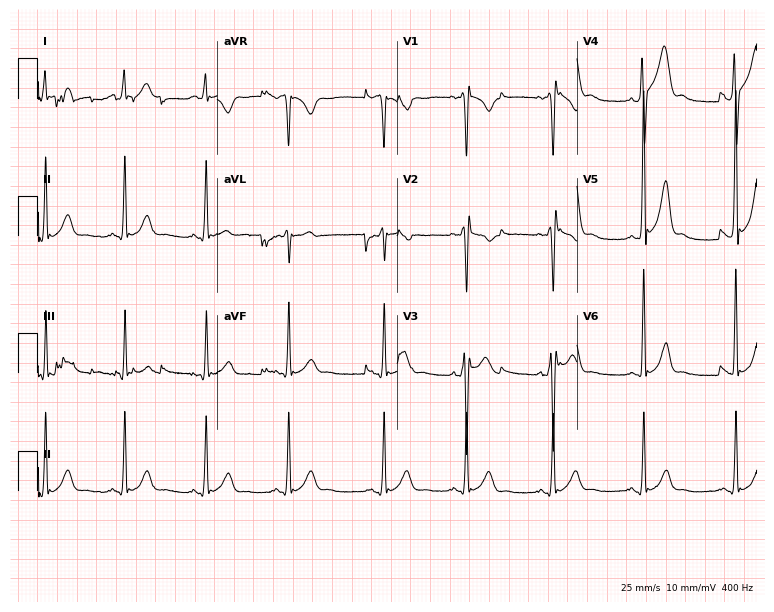
Standard 12-lead ECG recorded from a 25-year-old male patient (7.3-second recording at 400 Hz). None of these six findings is recorded: first-degree AV block, right bundle branch block, left bundle branch block, sinus bradycardia, atrial fibrillation, sinus tachycardia.